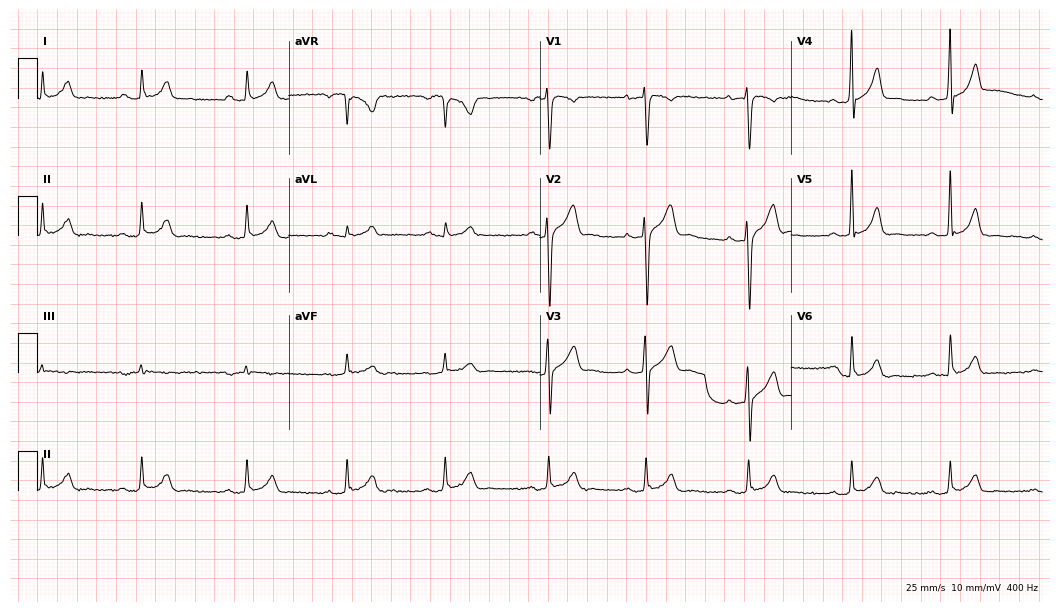
ECG — a 38-year-old man. Labelled as a normal ECG.